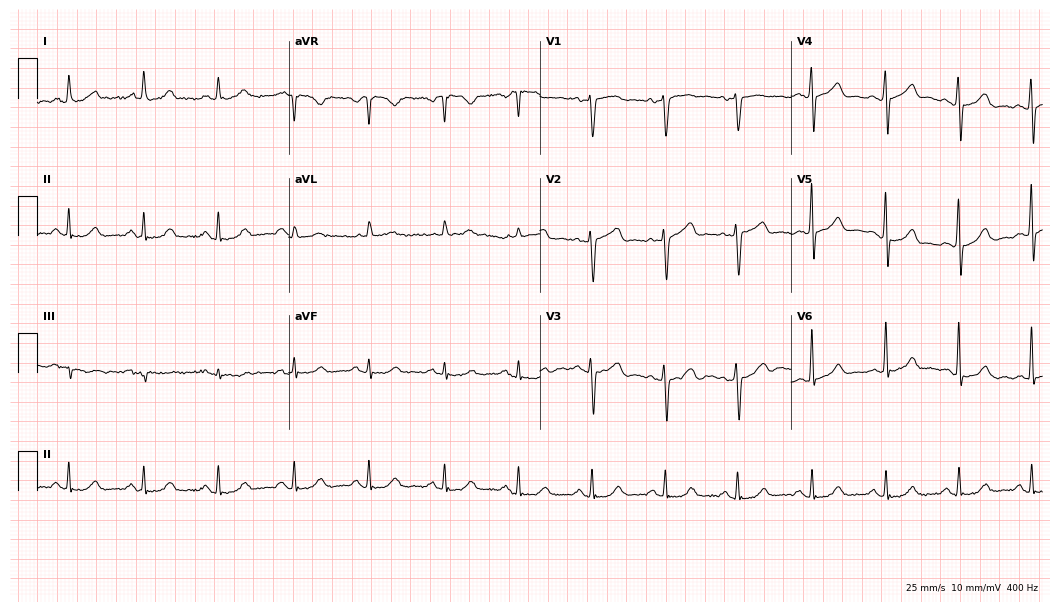
ECG — a male patient, 71 years old. Labelled as a normal ECG.